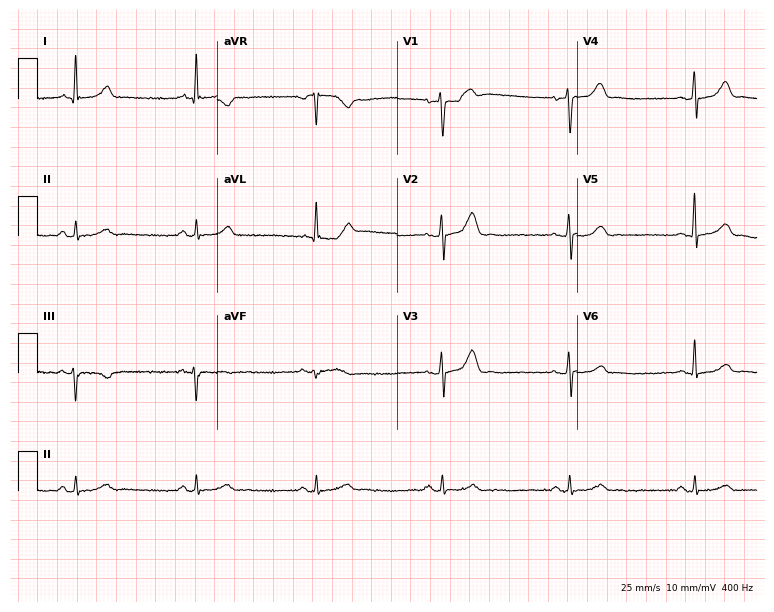
Electrocardiogram, a 40-year-old man. Overall reading on record: normal ECG.